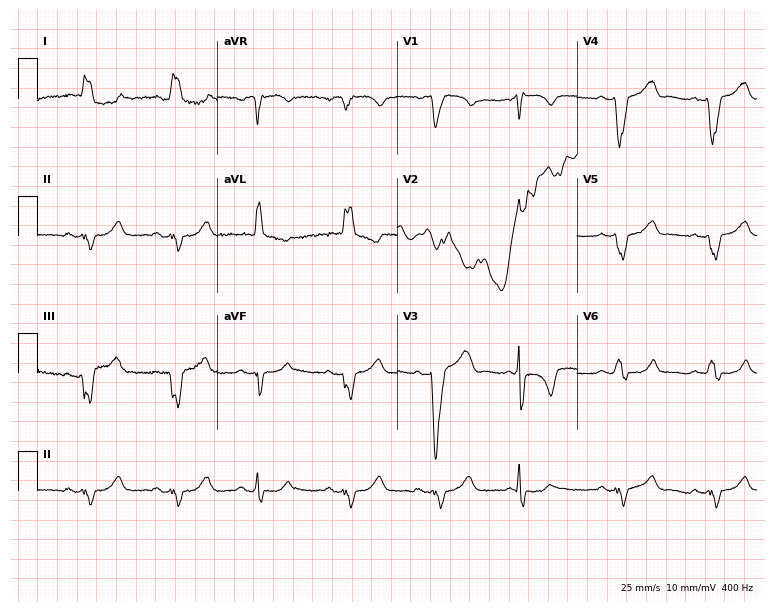
Electrocardiogram (7.3-second recording at 400 Hz), a woman, 70 years old. Of the six screened findings (first-degree AV block, right bundle branch block, left bundle branch block, sinus bradycardia, atrial fibrillation, sinus tachycardia), none is recorded.